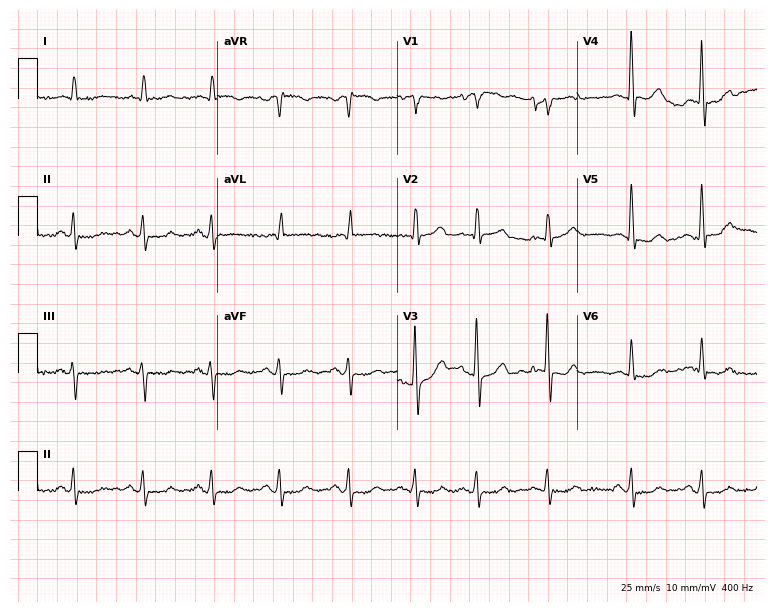
Standard 12-lead ECG recorded from a 77-year-old male. None of these six findings is recorded: first-degree AV block, right bundle branch block, left bundle branch block, sinus bradycardia, atrial fibrillation, sinus tachycardia. Findings outside these six are not listed.